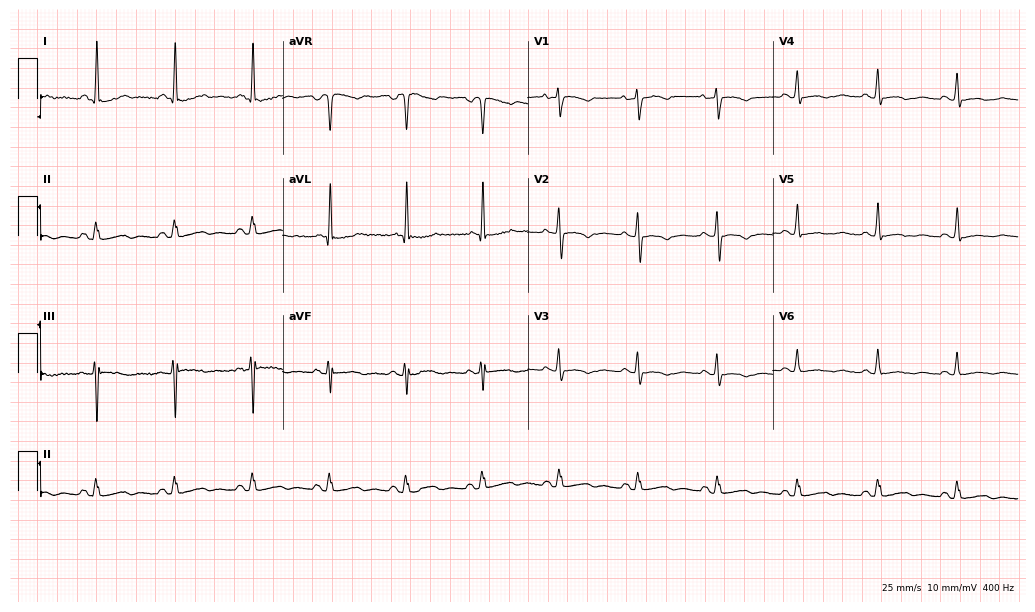
12-lead ECG from a female, 56 years old. No first-degree AV block, right bundle branch block (RBBB), left bundle branch block (LBBB), sinus bradycardia, atrial fibrillation (AF) or sinus tachycardia recorded for this tracing. Other findings, if any, are not listed.